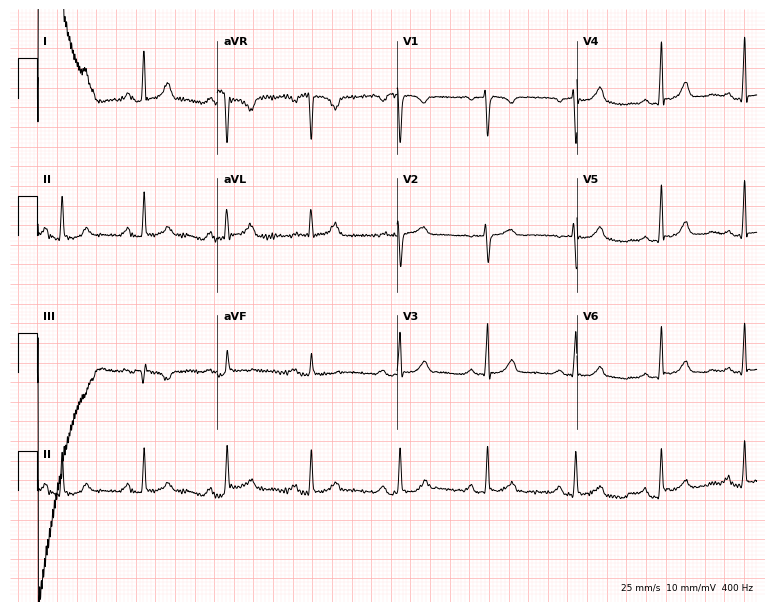
Resting 12-lead electrocardiogram (7.3-second recording at 400 Hz). Patient: a 46-year-old female. None of these six findings is recorded: first-degree AV block, right bundle branch block (RBBB), left bundle branch block (LBBB), sinus bradycardia, atrial fibrillation (AF), sinus tachycardia. Other findings, if any, are not listed.